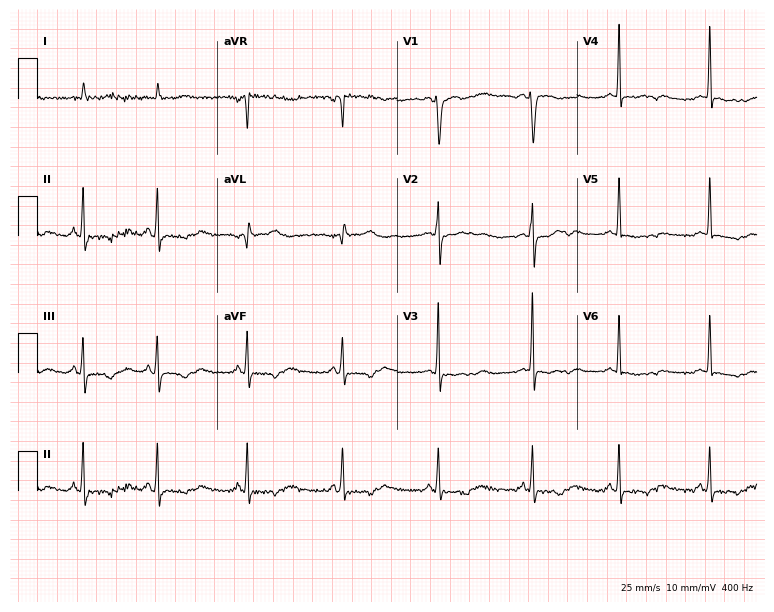
ECG — a female patient, 53 years old. Screened for six findings — first-degree AV block, right bundle branch block, left bundle branch block, sinus bradycardia, atrial fibrillation, sinus tachycardia — none is recorded.